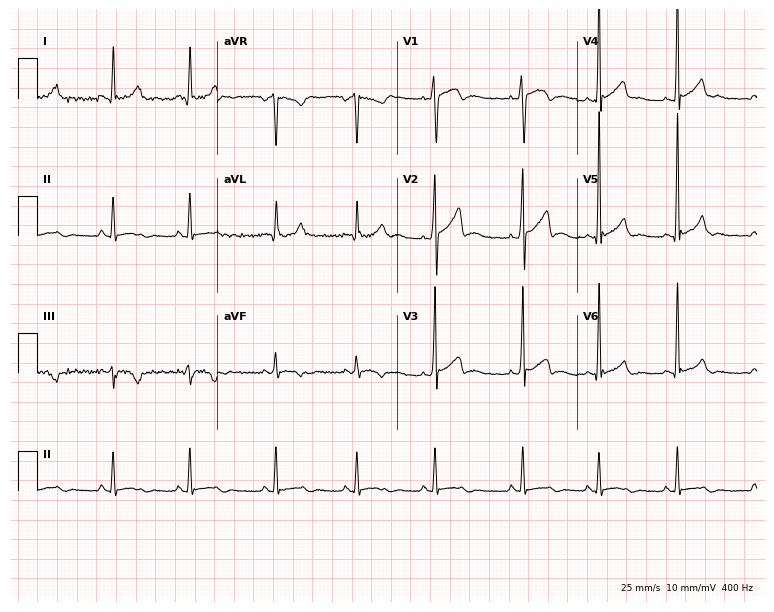
12-lead ECG from a male patient, 31 years old. Screened for six findings — first-degree AV block, right bundle branch block (RBBB), left bundle branch block (LBBB), sinus bradycardia, atrial fibrillation (AF), sinus tachycardia — none is recorded.